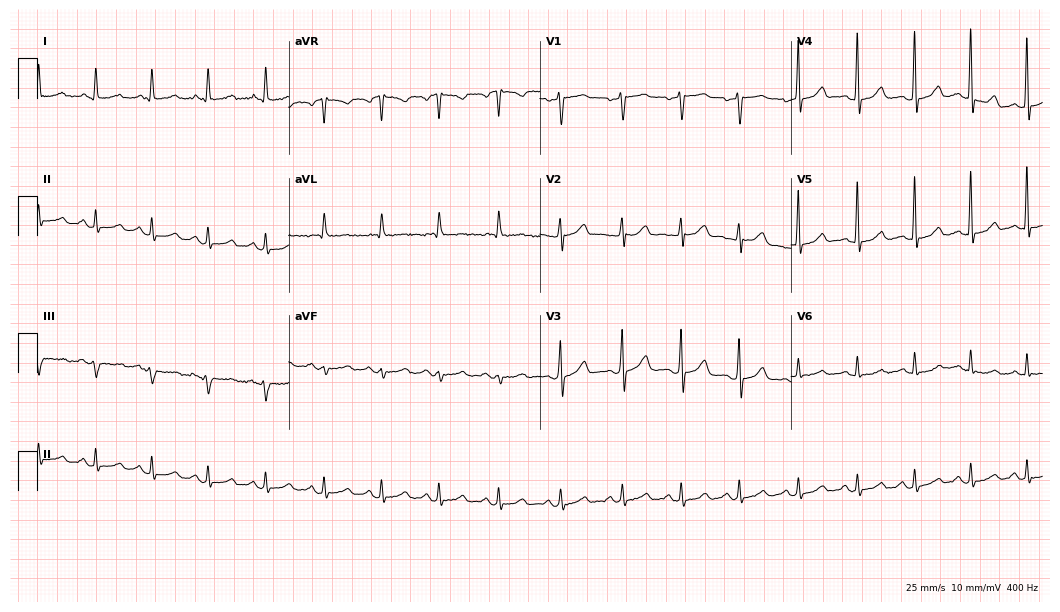
Electrocardiogram, a 59-year-old female patient. Overall reading on record: normal ECG.